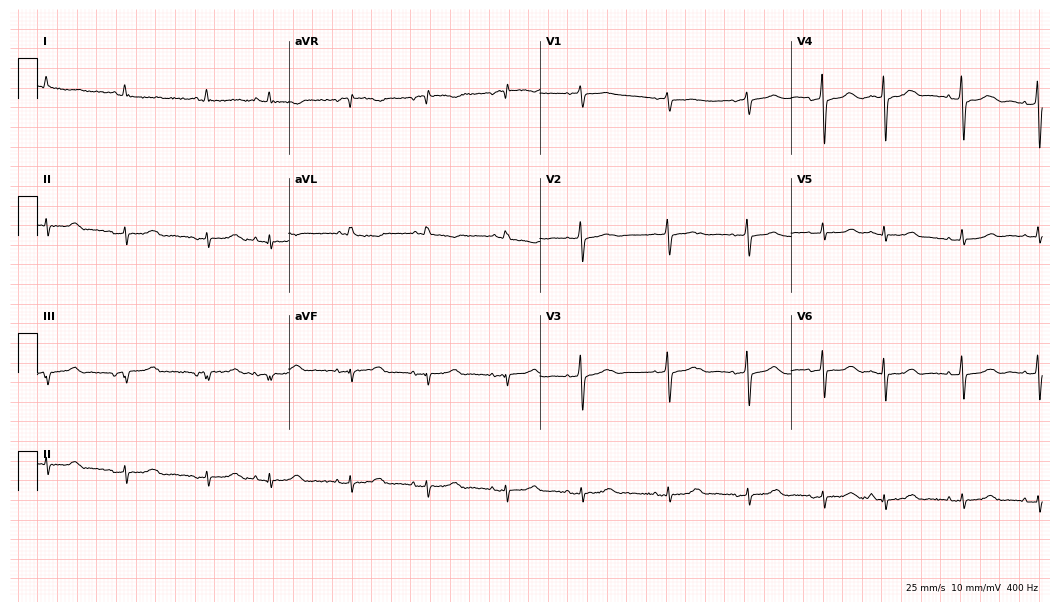
12-lead ECG from a woman, 66 years old. No first-degree AV block, right bundle branch block (RBBB), left bundle branch block (LBBB), sinus bradycardia, atrial fibrillation (AF) or sinus tachycardia recorded for this tracing.